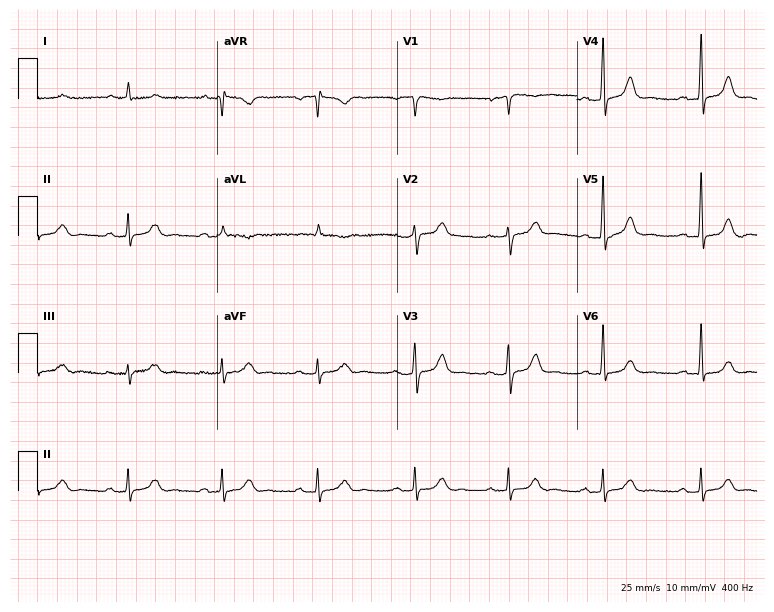
ECG — a man, 57 years old. Screened for six findings — first-degree AV block, right bundle branch block, left bundle branch block, sinus bradycardia, atrial fibrillation, sinus tachycardia — none is recorded.